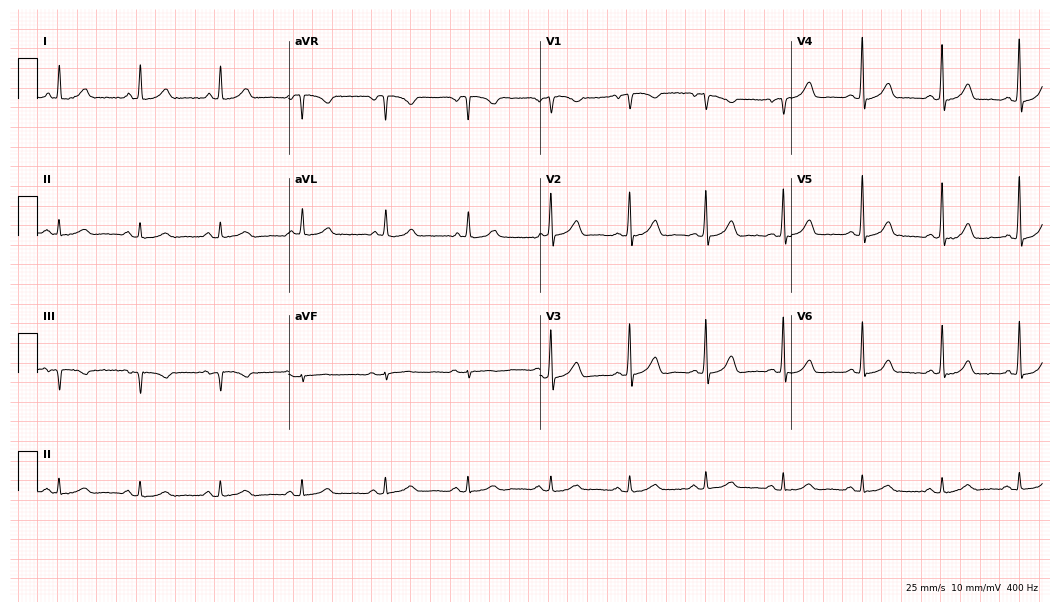
Electrocardiogram, a 71-year-old female patient. Overall reading on record: normal ECG.